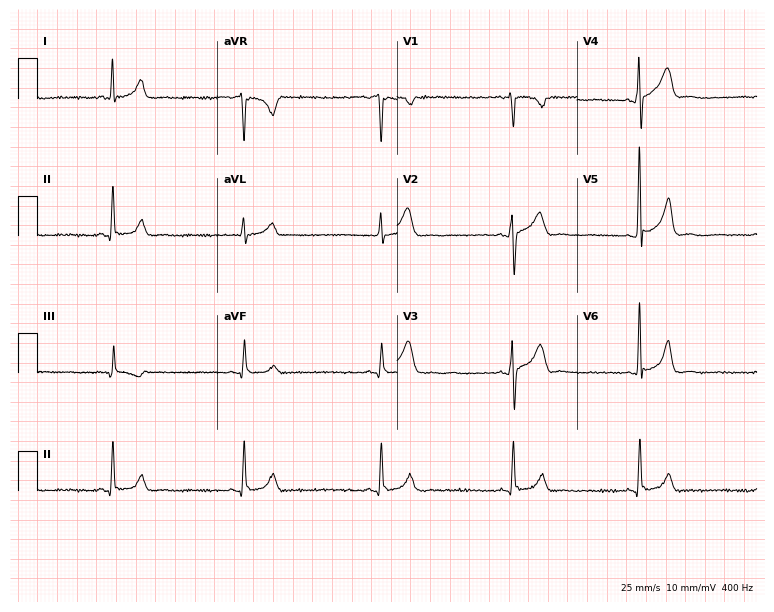
Electrocardiogram, a 33-year-old male patient. Interpretation includes sinus bradycardia (a sinus rate of 50 beats per minute or less).